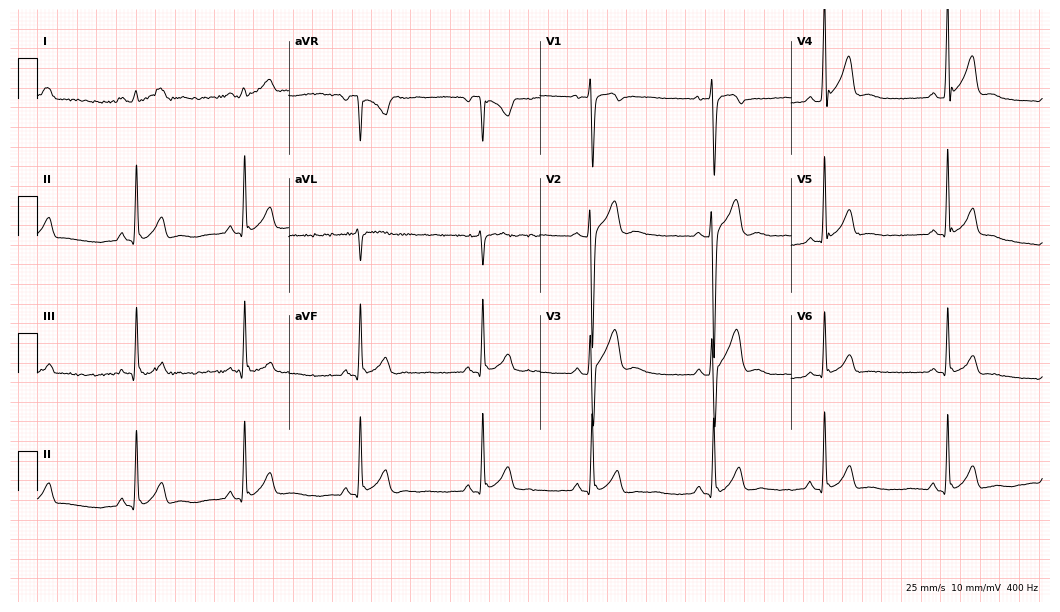
ECG — an 18-year-old male. Labelled as a normal ECG.